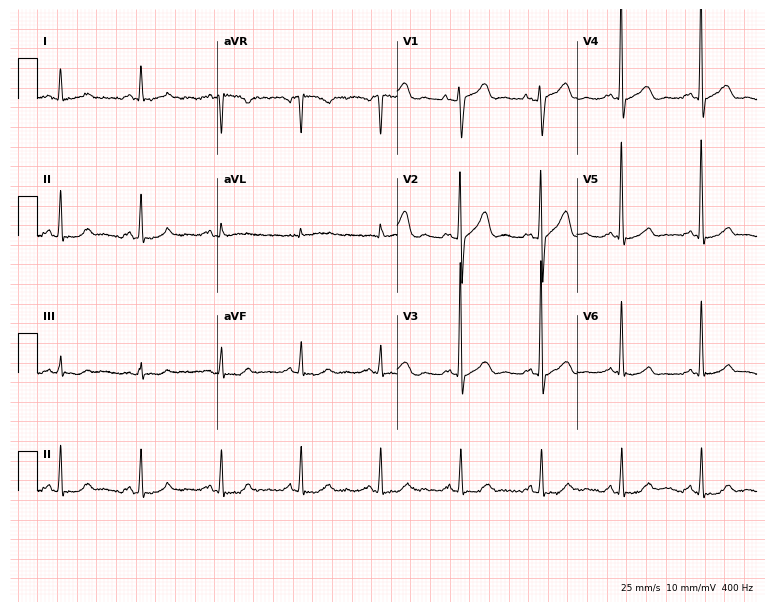
Electrocardiogram (7.3-second recording at 400 Hz), a male, 65 years old. Overall reading on record: normal ECG.